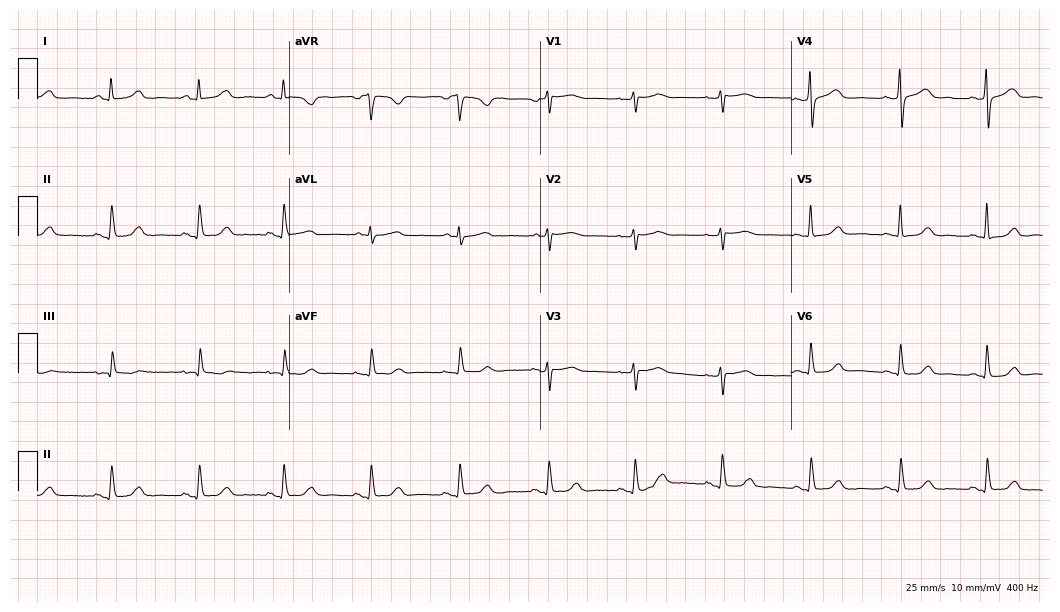
12-lead ECG from a 66-year-old female. Labelled as a normal ECG.